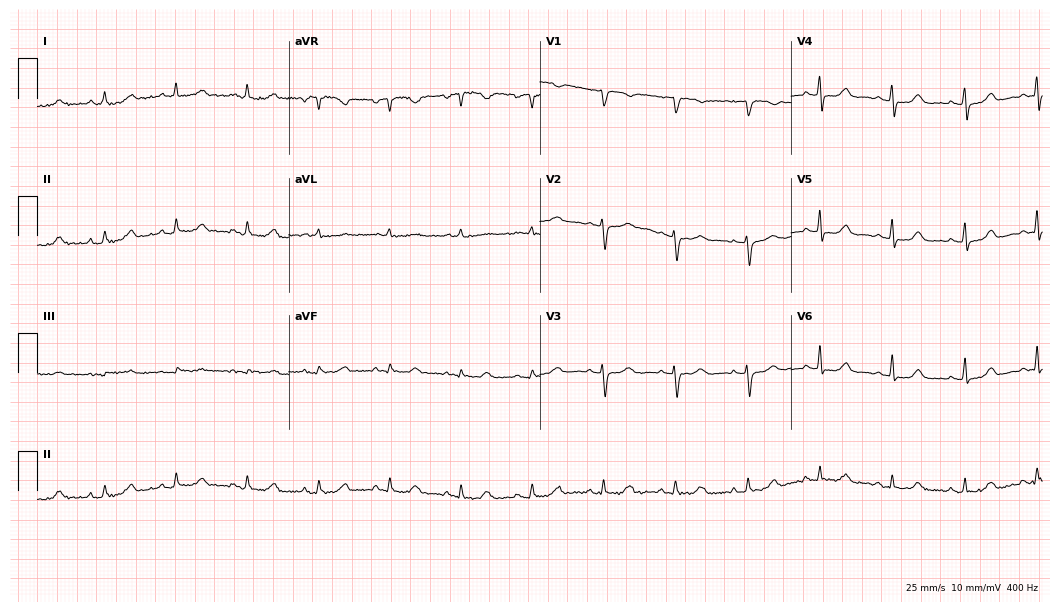
Resting 12-lead electrocardiogram (10.2-second recording at 400 Hz). Patient: a woman, 69 years old. None of these six findings is recorded: first-degree AV block, right bundle branch block, left bundle branch block, sinus bradycardia, atrial fibrillation, sinus tachycardia.